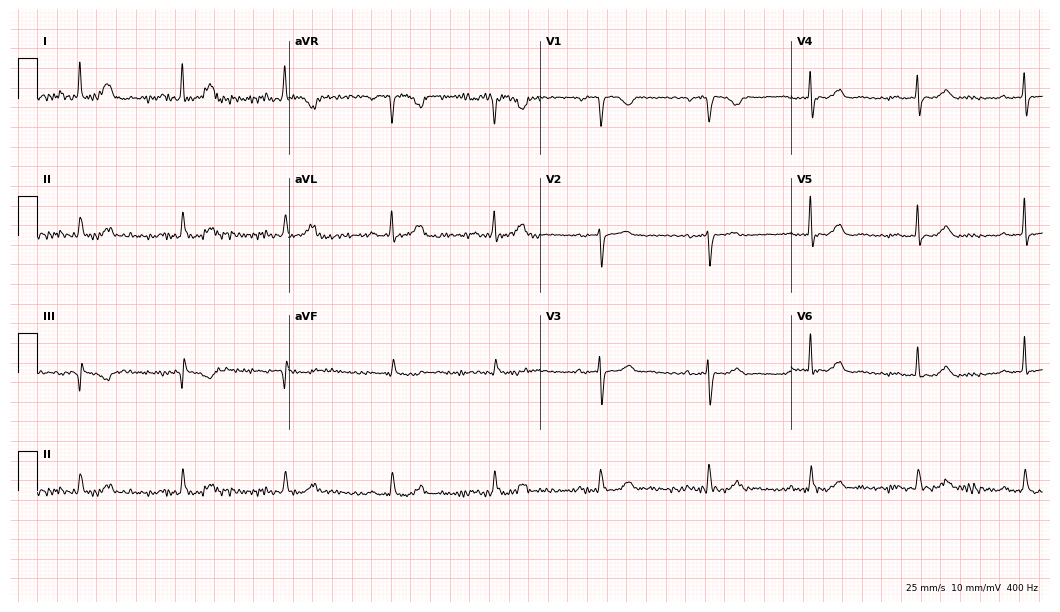
Resting 12-lead electrocardiogram (10.2-second recording at 400 Hz). Patient: a woman, 74 years old. None of these six findings is recorded: first-degree AV block, right bundle branch block (RBBB), left bundle branch block (LBBB), sinus bradycardia, atrial fibrillation (AF), sinus tachycardia.